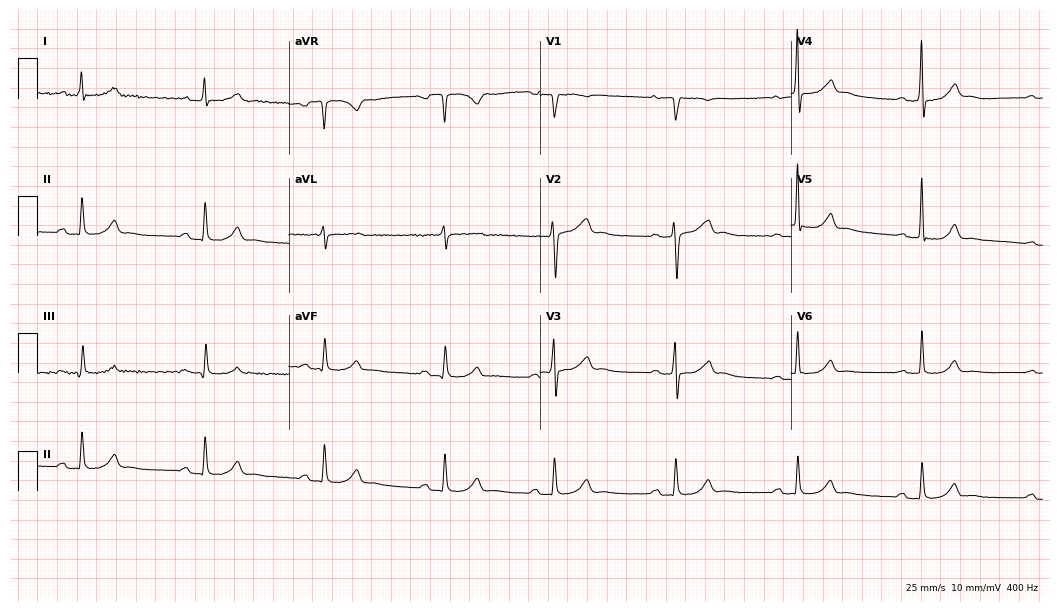
12-lead ECG from a male patient, 57 years old. Findings include sinus bradycardia (a sinus rate of 50 beats per minute or less).